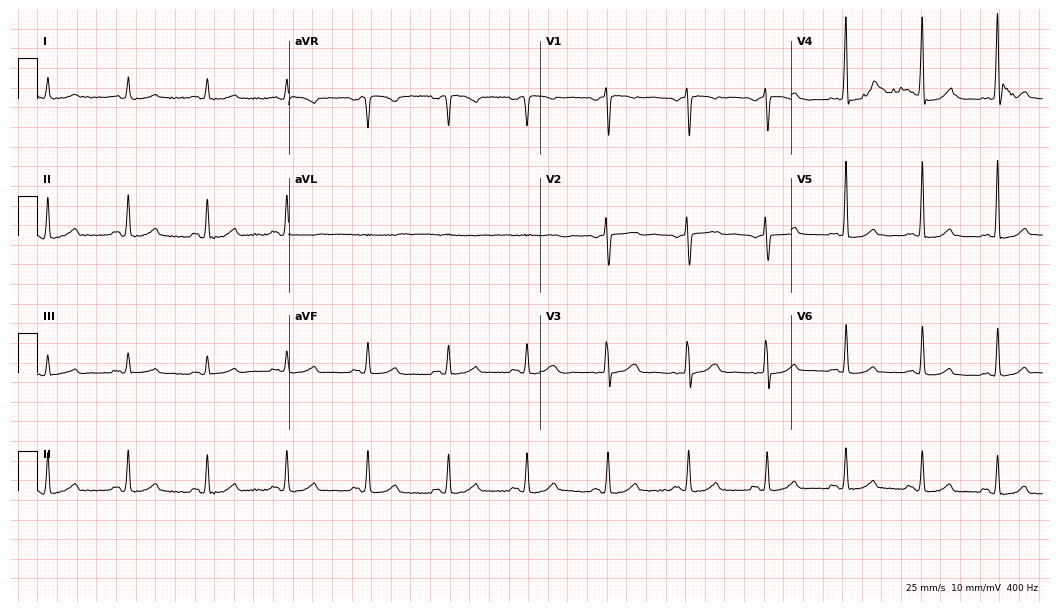
12-lead ECG (10.2-second recording at 400 Hz) from a female, 42 years old. Screened for six findings — first-degree AV block, right bundle branch block, left bundle branch block, sinus bradycardia, atrial fibrillation, sinus tachycardia — none is recorded.